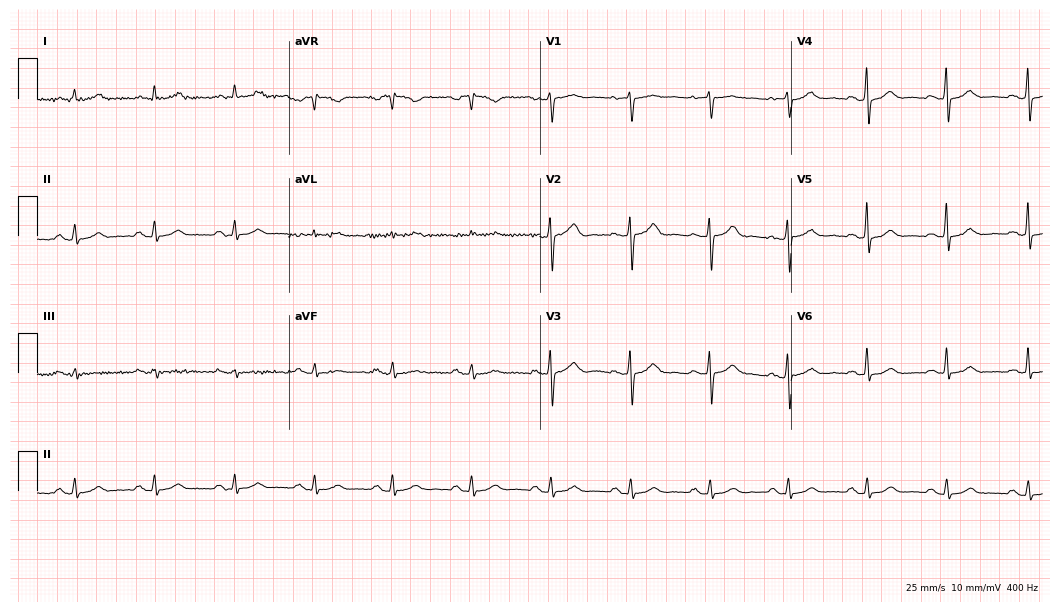
Resting 12-lead electrocardiogram. Patient: a female, 66 years old. Read as a normal ECG.